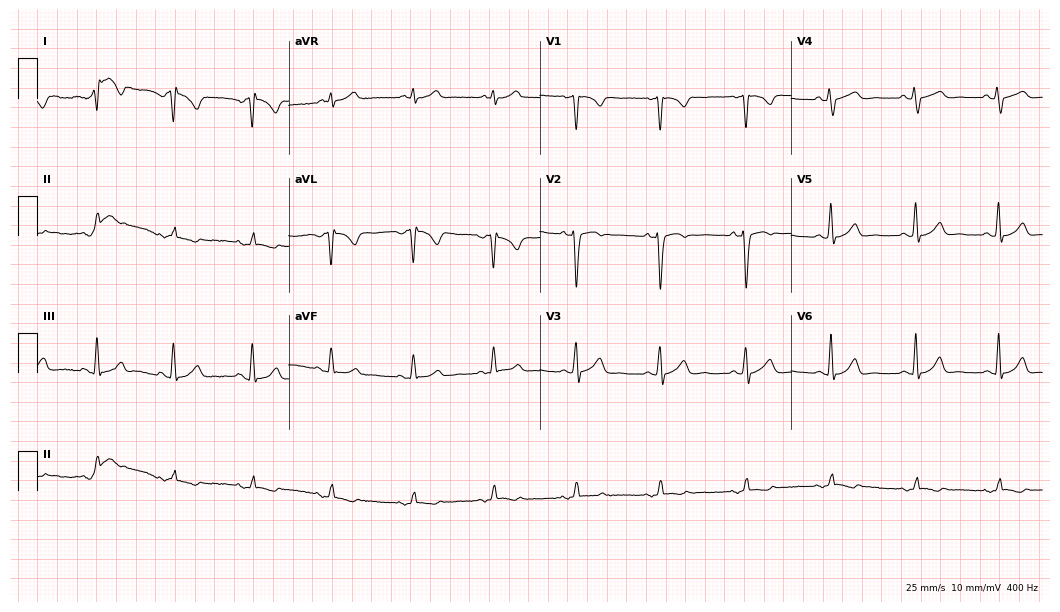
Electrocardiogram, a 40-year-old woman. Of the six screened findings (first-degree AV block, right bundle branch block, left bundle branch block, sinus bradycardia, atrial fibrillation, sinus tachycardia), none is recorded.